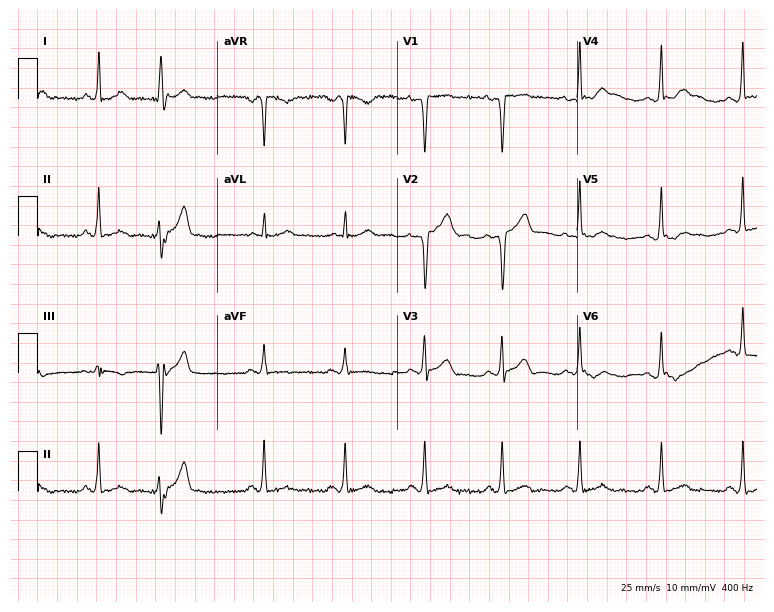
Resting 12-lead electrocardiogram (7.3-second recording at 400 Hz). Patient: a man, 35 years old. Read as a normal ECG.